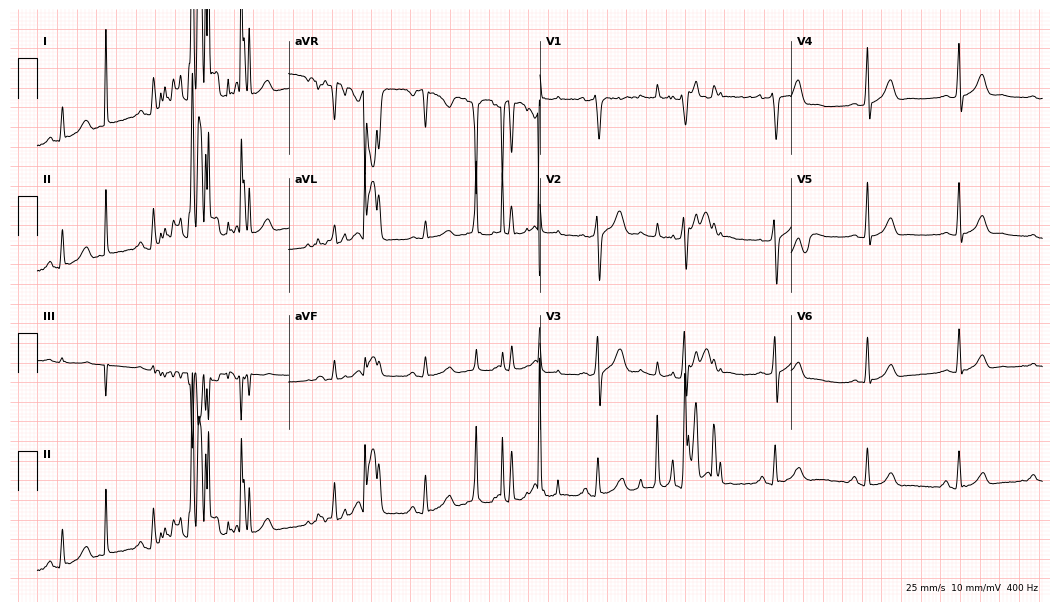
Standard 12-lead ECG recorded from a 41-year-old male (10.2-second recording at 400 Hz). None of these six findings is recorded: first-degree AV block, right bundle branch block (RBBB), left bundle branch block (LBBB), sinus bradycardia, atrial fibrillation (AF), sinus tachycardia.